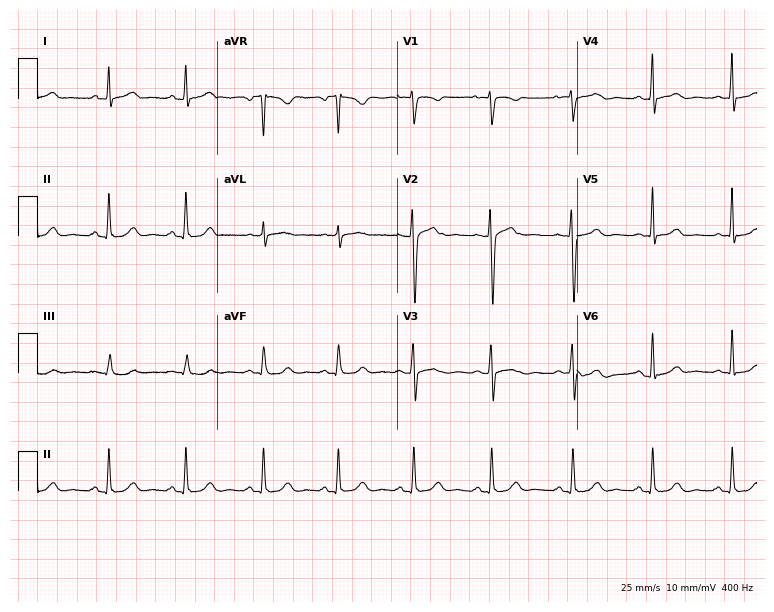
ECG — a 42-year-old woman. Labelled as a normal ECG.